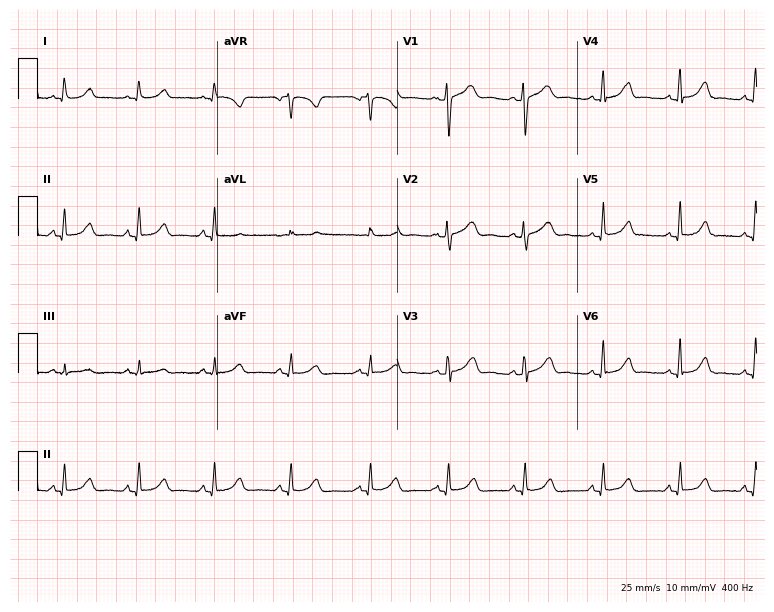
Resting 12-lead electrocardiogram. Patient: a female, 48 years old. Read as a normal ECG.